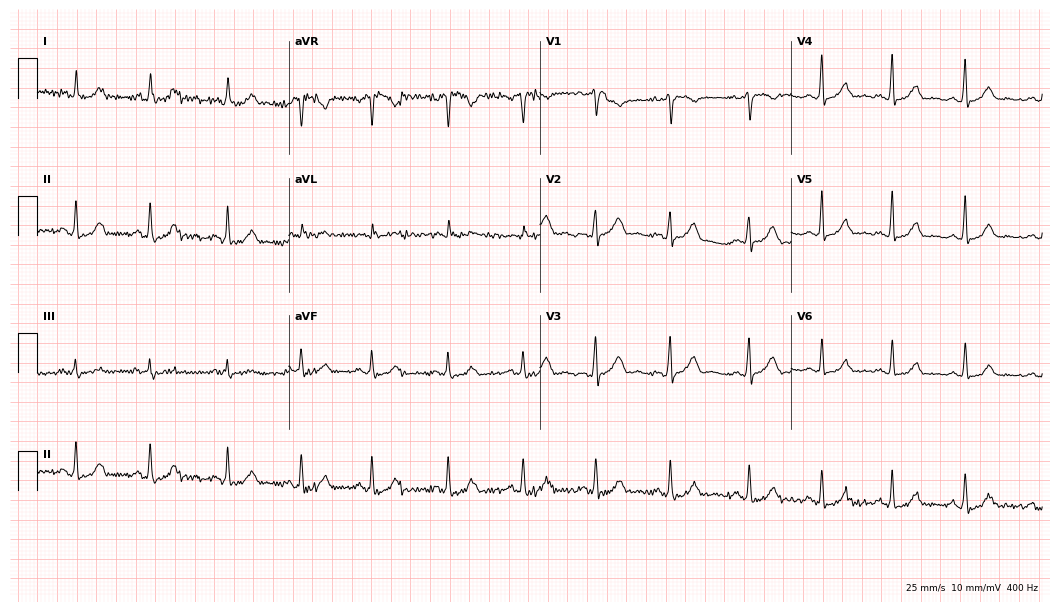
Resting 12-lead electrocardiogram. Patient: a female, 23 years old. Read as a normal ECG.